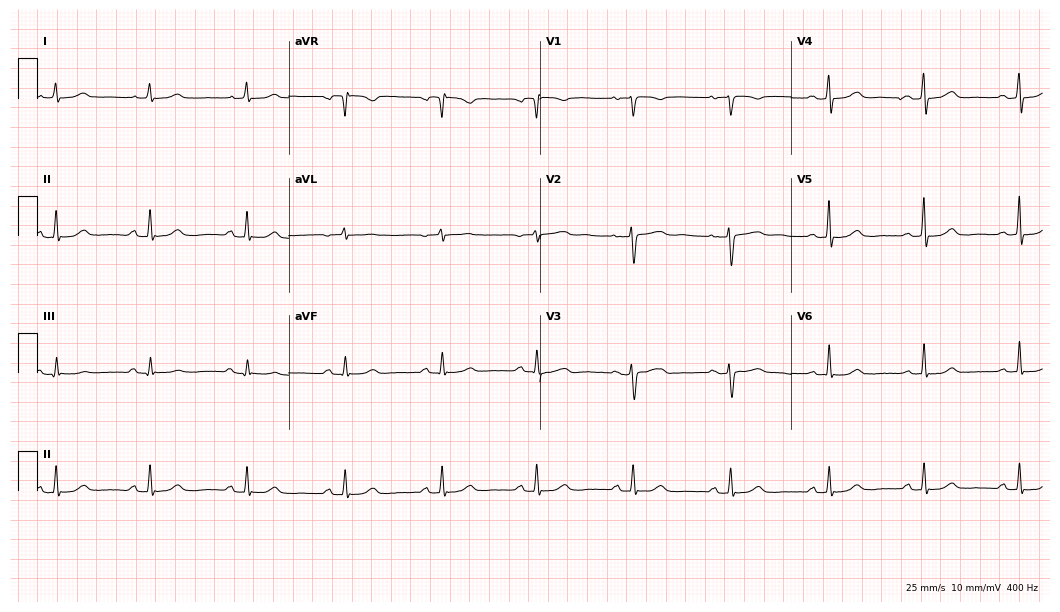
ECG (10.2-second recording at 400 Hz) — a 50-year-old woman. Labelled as a normal ECG.